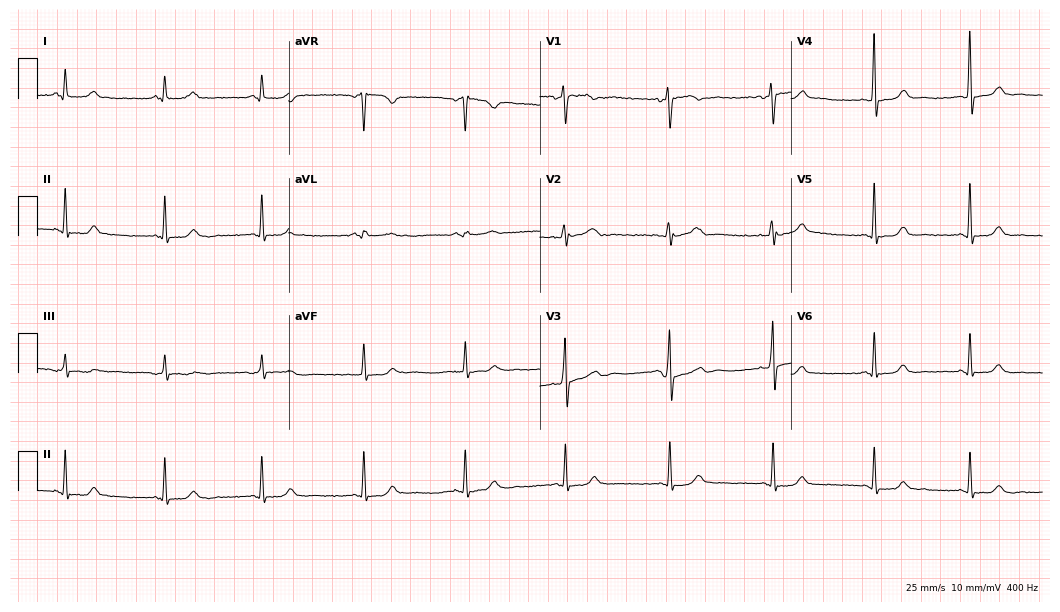
12-lead ECG from a woman, 48 years old. No first-degree AV block, right bundle branch block (RBBB), left bundle branch block (LBBB), sinus bradycardia, atrial fibrillation (AF) or sinus tachycardia recorded for this tracing. Only these six findings were labelled.